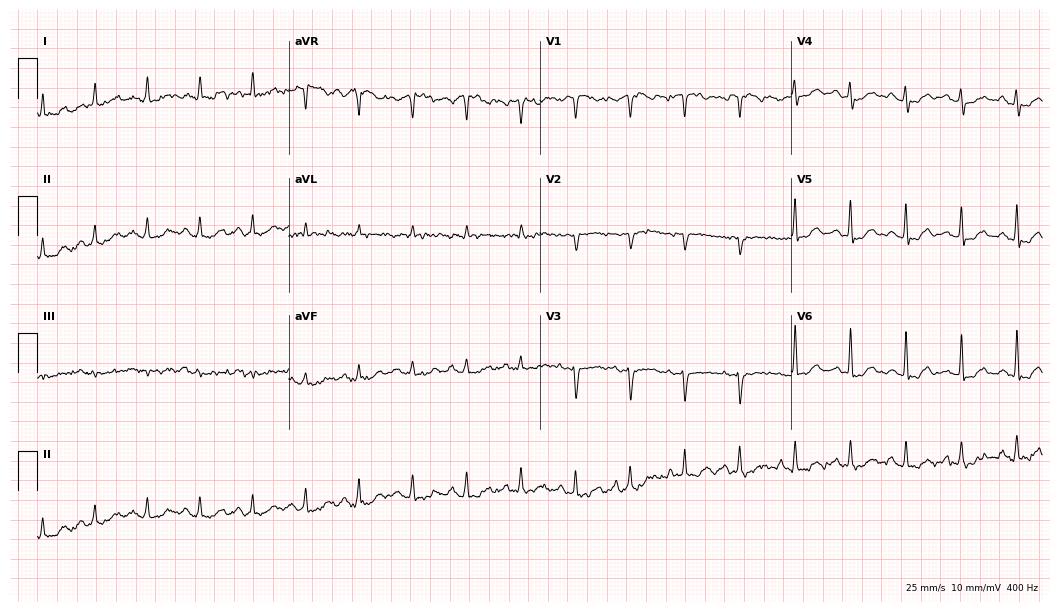
Standard 12-lead ECG recorded from a female, 78 years old (10.2-second recording at 400 Hz). The tracing shows sinus tachycardia (a sinus rate of 100 beats per minute or more).